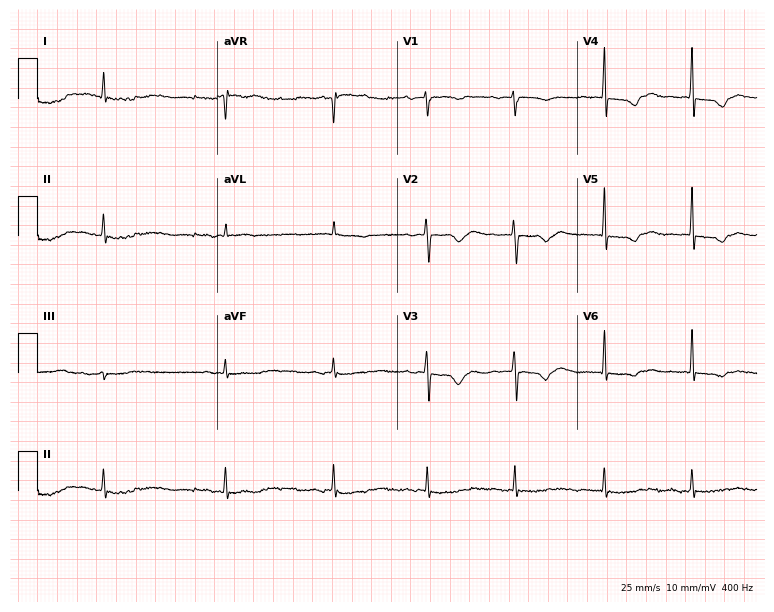
12-lead ECG from a female patient, 68 years old (7.3-second recording at 400 Hz). No first-degree AV block, right bundle branch block, left bundle branch block, sinus bradycardia, atrial fibrillation or sinus tachycardia recorded for this tracing.